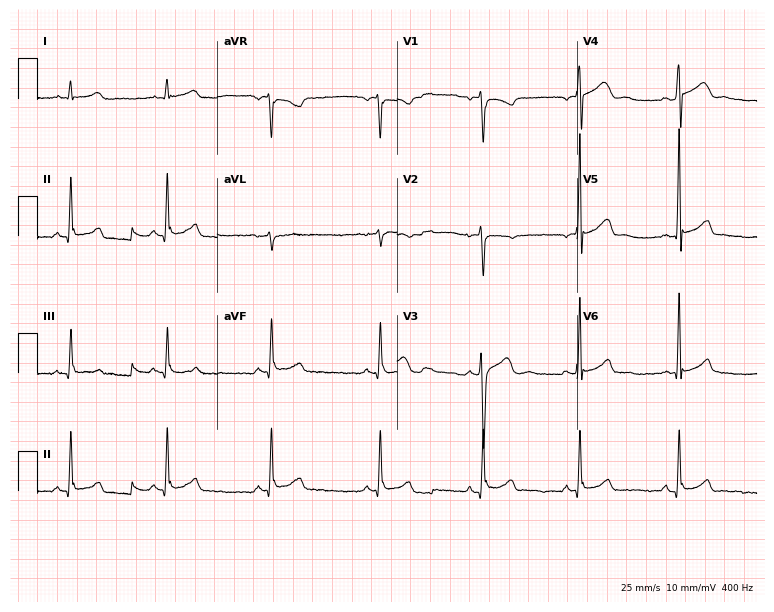
12-lead ECG from a 27-year-old man. Recorded interpretation: within normal limits.